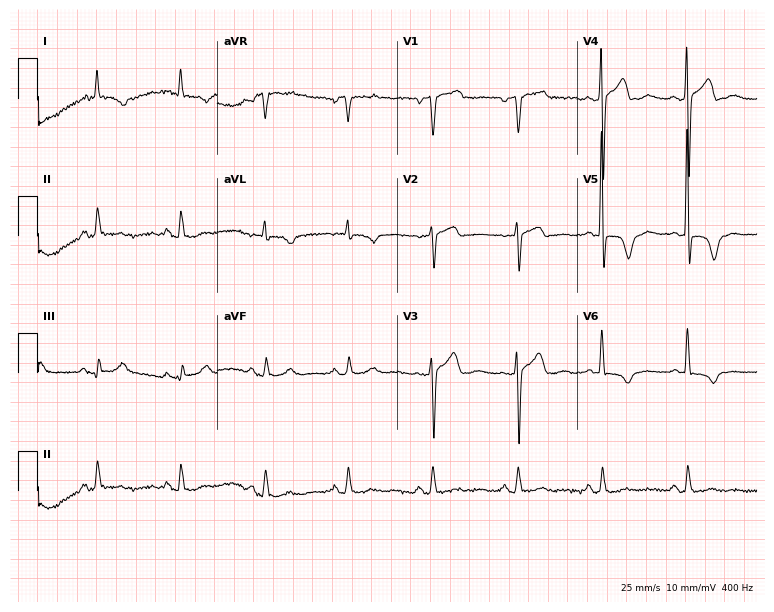
12-lead ECG from a male, 61 years old. Screened for six findings — first-degree AV block, right bundle branch block, left bundle branch block, sinus bradycardia, atrial fibrillation, sinus tachycardia — none is recorded.